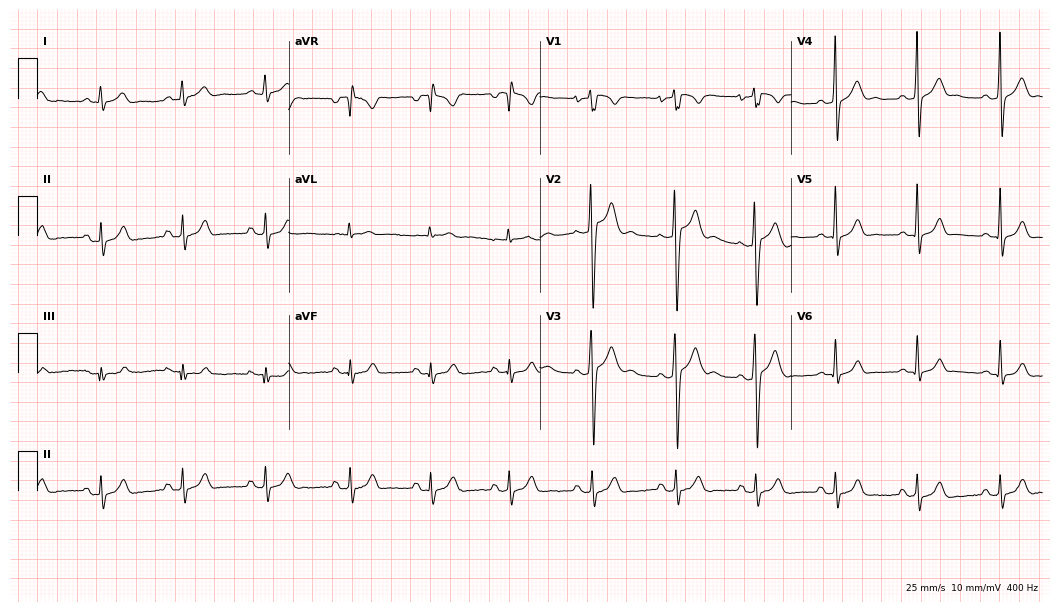
Electrocardiogram, a 17-year-old male. Overall reading on record: normal ECG.